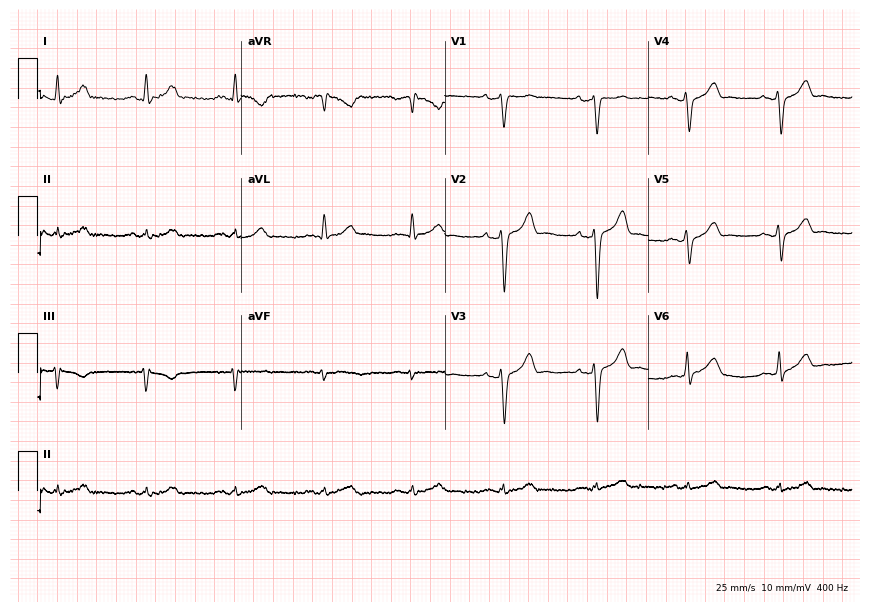
ECG (8.3-second recording at 400 Hz) — a 57-year-old male. Screened for six findings — first-degree AV block, right bundle branch block, left bundle branch block, sinus bradycardia, atrial fibrillation, sinus tachycardia — none is recorded. Findings outside these six are not listed.